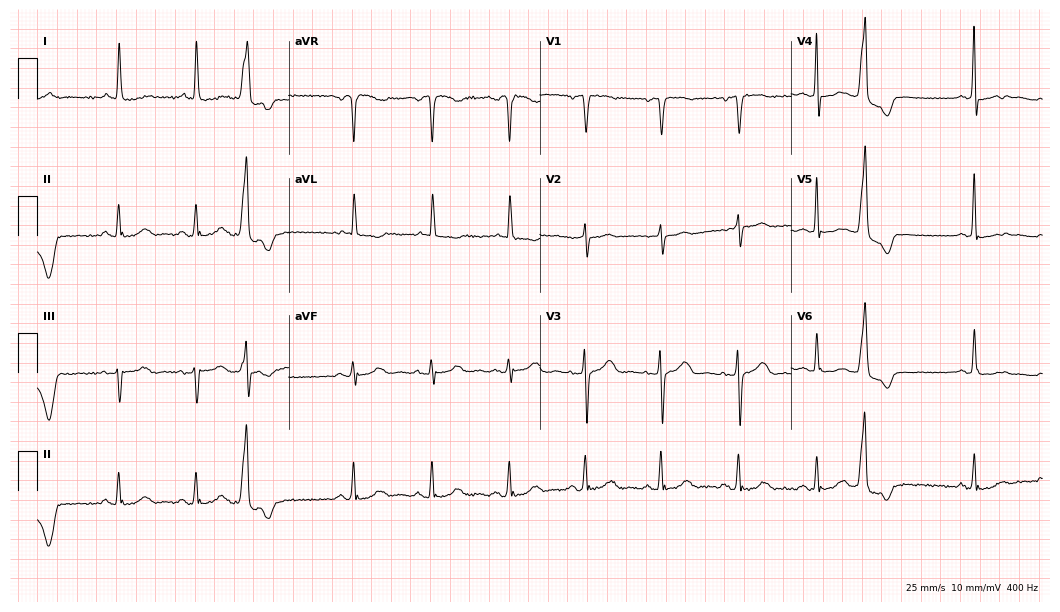
Electrocardiogram (10.2-second recording at 400 Hz), an 80-year-old female patient. Of the six screened findings (first-degree AV block, right bundle branch block, left bundle branch block, sinus bradycardia, atrial fibrillation, sinus tachycardia), none is recorded. Only these six findings were labelled.